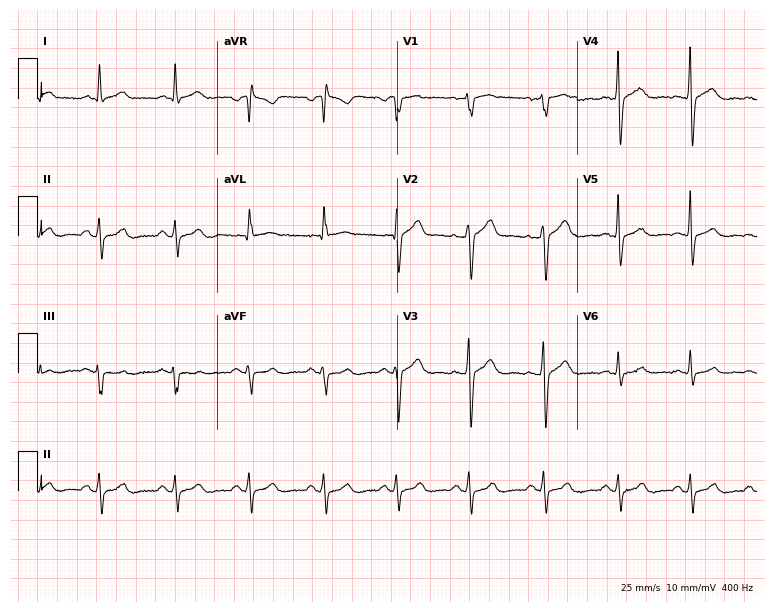
12-lead ECG (7.3-second recording at 400 Hz) from a 47-year-old man. Labelled as a normal ECG.